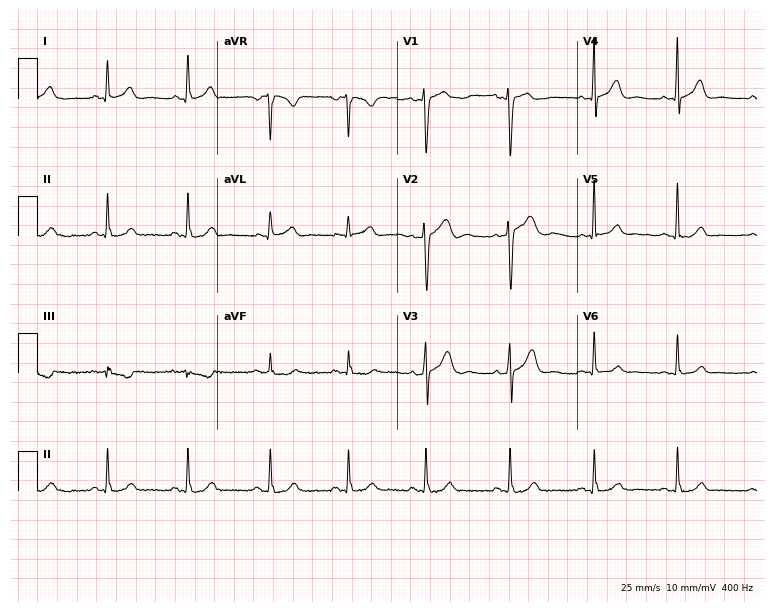
Resting 12-lead electrocardiogram (7.3-second recording at 400 Hz). Patient: a female, 42 years old. Read as a normal ECG.